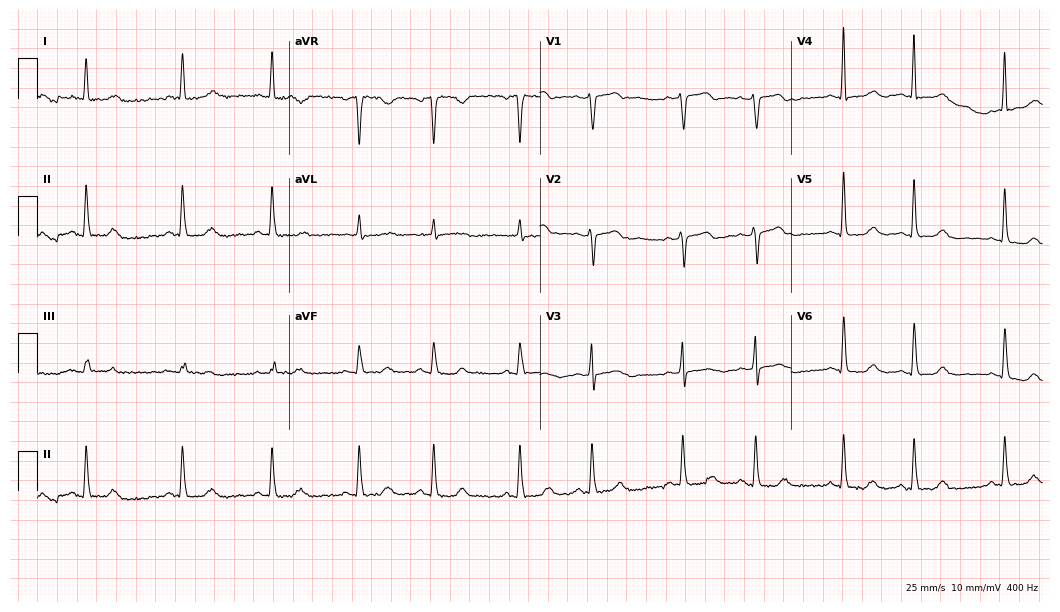
Electrocardiogram (10.2-second recording at 400 Hz), a 54-year-old male patient. Overall reading on record: normal ECG.